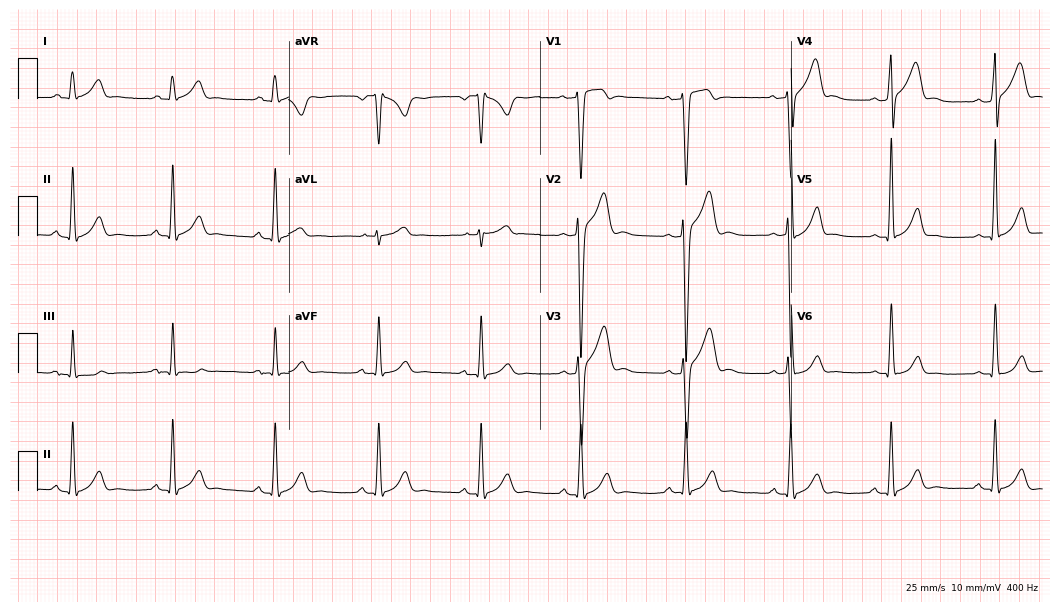
Resting 12-lead electrocardiogram. Patient: a male, 32 years old. None of these six findings is recorded: first-degree AV block, right bundle branch block, left bundle branch block, sinus bradycardia, atrial fibrillation, sinus tachycardia. Other findings, if any, are not listed.